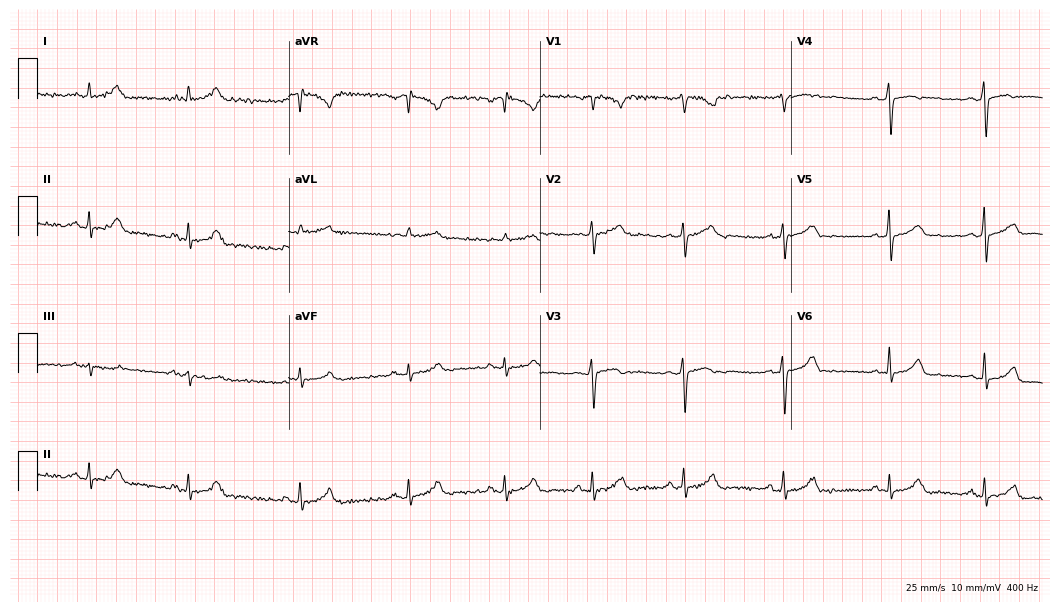
12-lead ECG from a female, 23 years old (10.2-second recording at 400 Hz). Recorded interpretation: within normal limits.